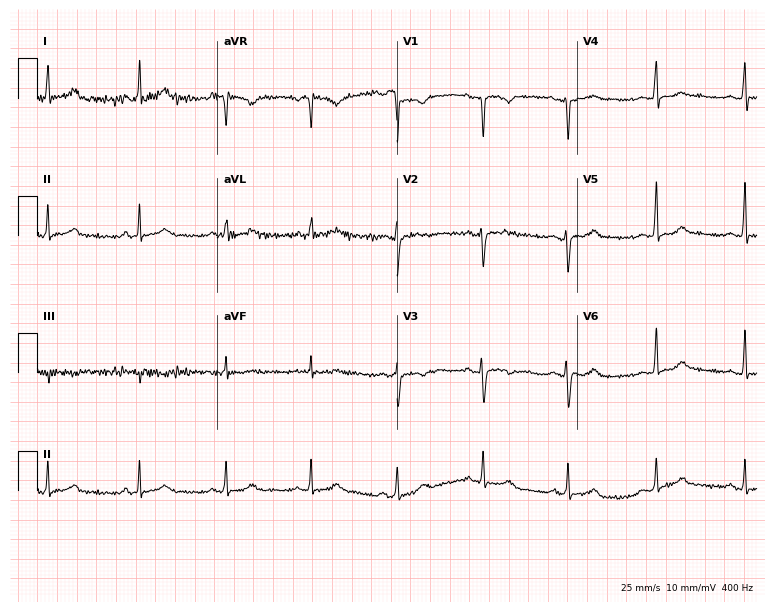
12-lead ECG from a 24-year-old female patient (7.3-second recording at 400 Hz). Recorded interpretation: within normal limits.